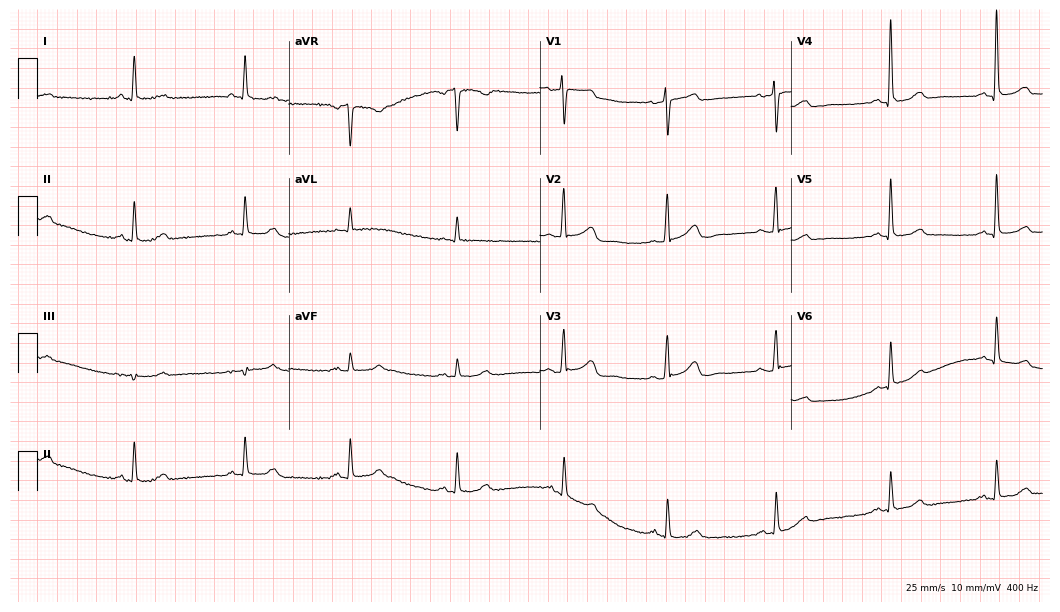
ECG — a female, 77 years old. Labelled as a normal ECG.